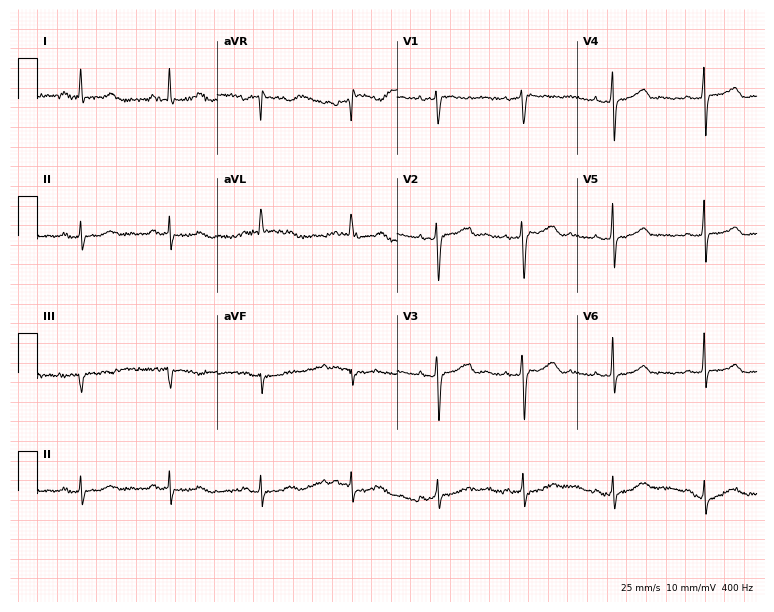
12-lead ECG from a 59-year-old woman (7.3-second recording at 400 Hz). Recorded interpretation: within normal limits.